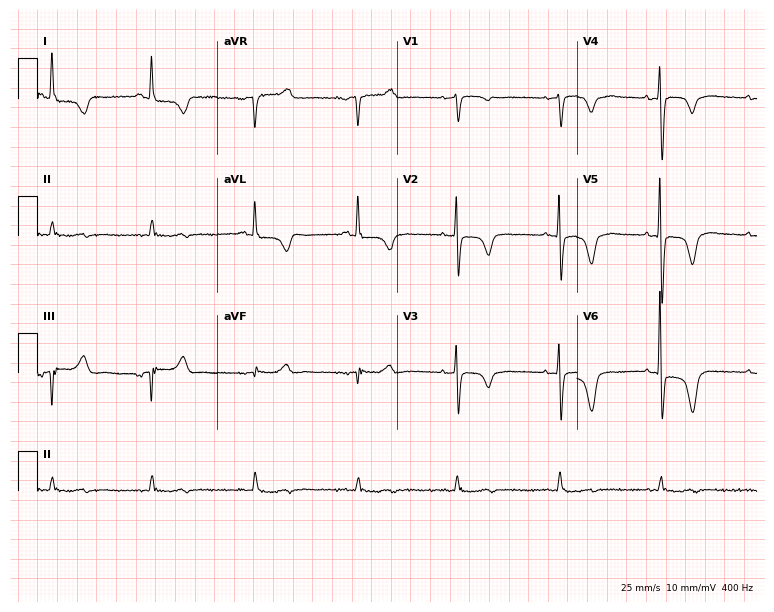
Standard 12-lead ECG recorded from a 77-year-old female patient. None of these six findings is recorded: first-degree AV block, right bundle branch block (RBBB), left bundle branch block (LBBB), sinus bradycardia, atrial fibrillation (AF), sinus tachycardia.